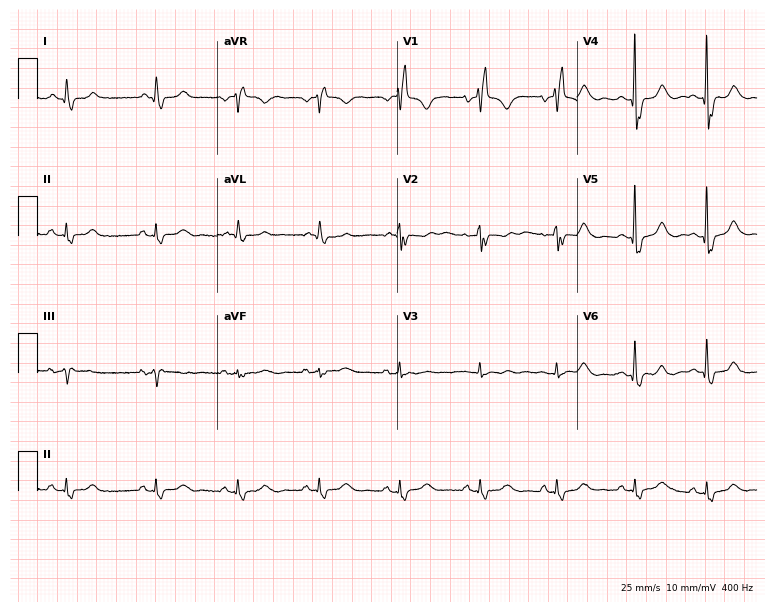
Electrocardiogram (7.3-second recording at 400 Hz), an 82-year-old female. Interpretation includes right bundle branch block.